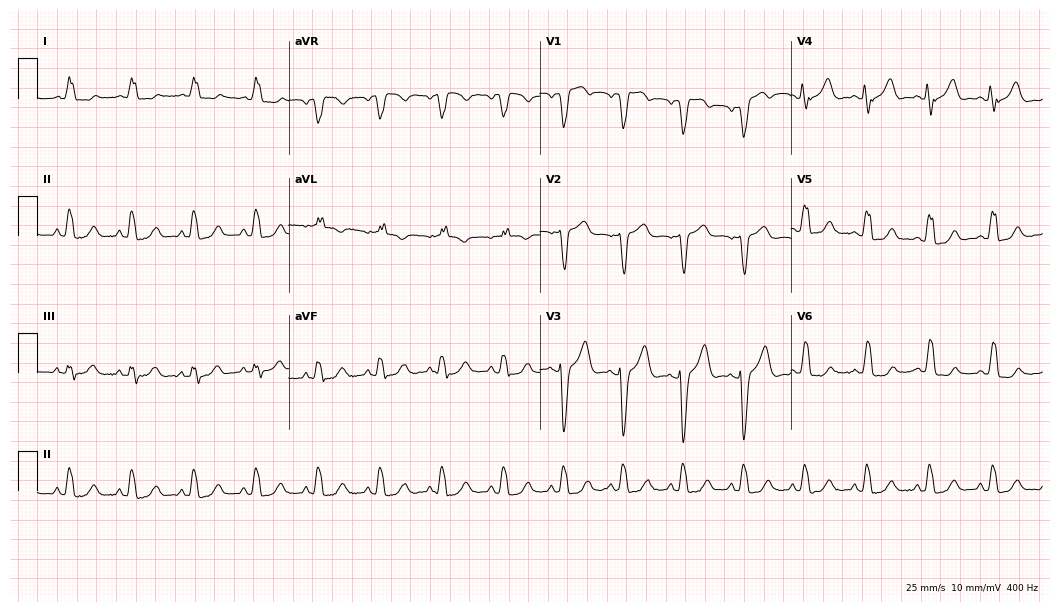
12-lead ECG from a female, 73 years old (10.2-second recording at 400 Hz). Shows left bundle branch block (LBBB).